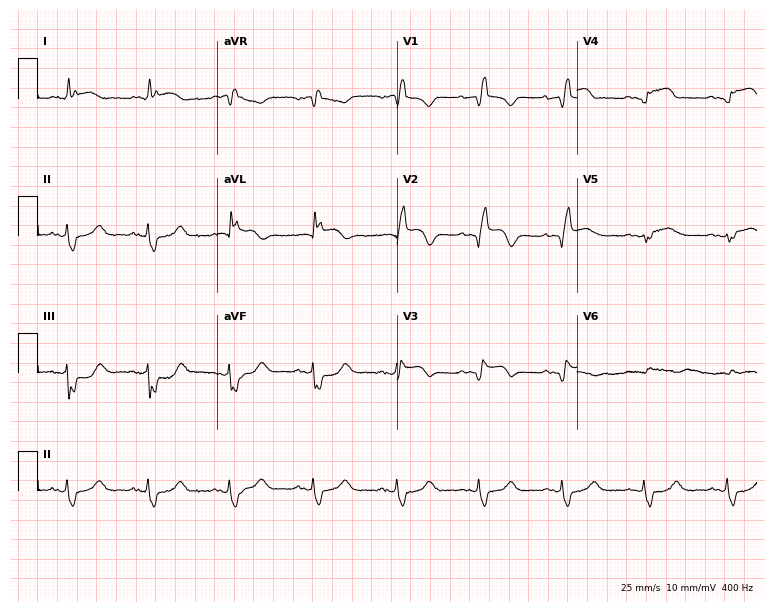
12-lead ECG (7.3-second recording at 400 Hz) from a woman, 70 years old. Findings include right bundle branch block.